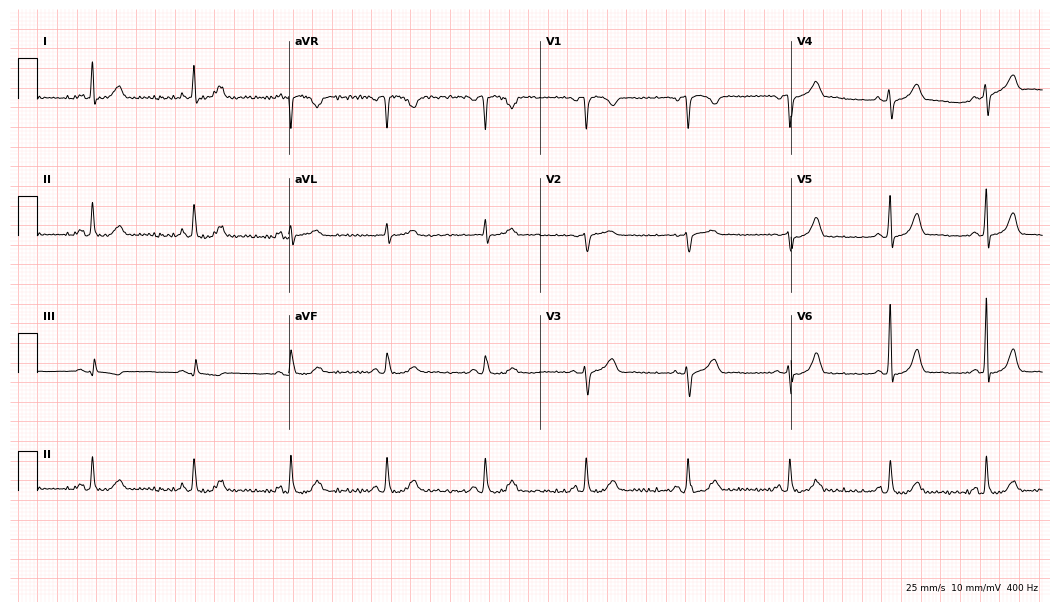
ECG (10.2-second recording at 400 Hz) — a 66-year-old woman. Labelled as a normal ECG.